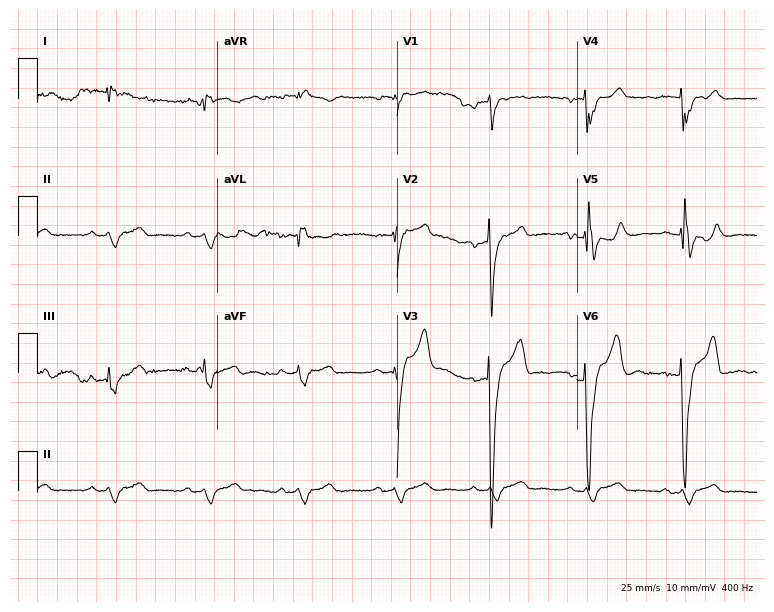
Electrocardiogram (7.3-second recording at 400 Hz), an 84-year-old man. Of the six screened findings (first-degree AV block, right bundle branch block, left bundle branch block, sinus bradycardia, atrial fibrillation, sinus tachycardia), none is recorded.